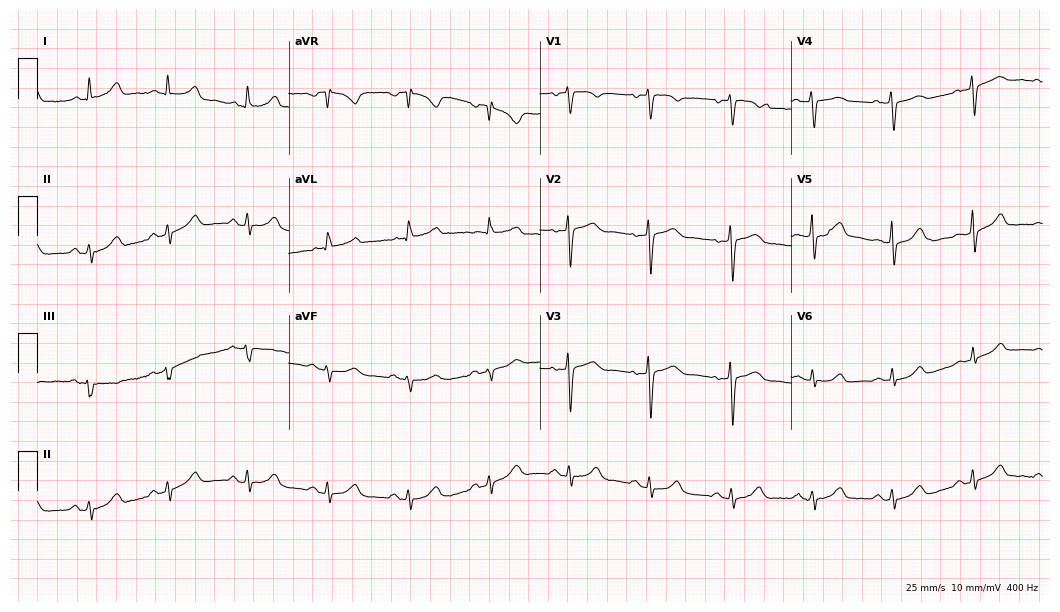
Resting 12-lead electrocardiogram. Patient: a woman, 67 years old. Read as a normal ECG.